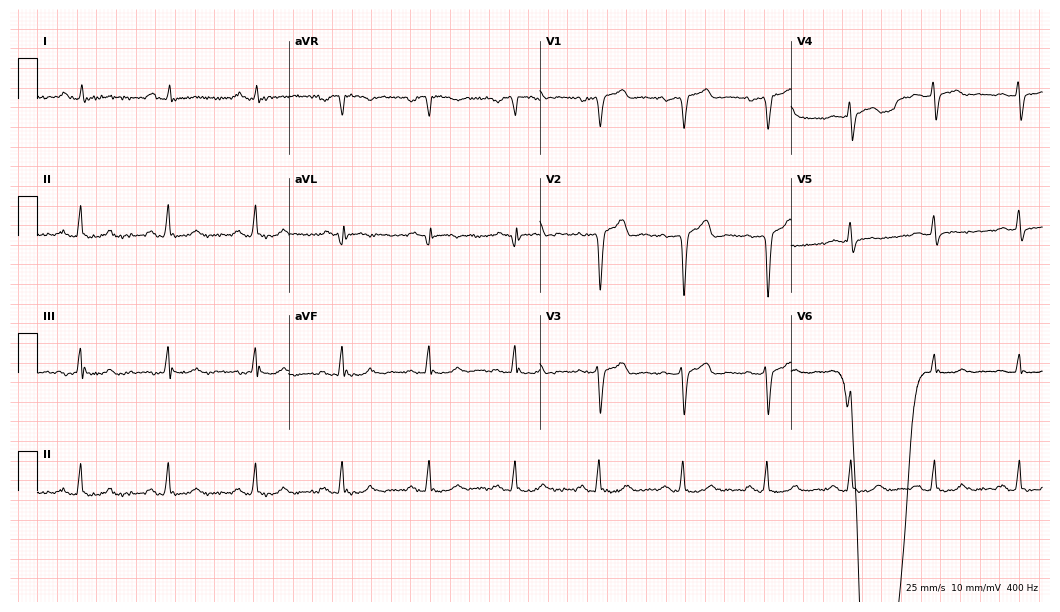
Standard 12-lead ECG recorded from a 55-year-old man. None of these six findings is recorded: first-degree AV block, right bundle branch block, left bundle branch block, sinus bradycardia, atrial fibrillation, sinus tachycardia. Only these six findings were labelled.